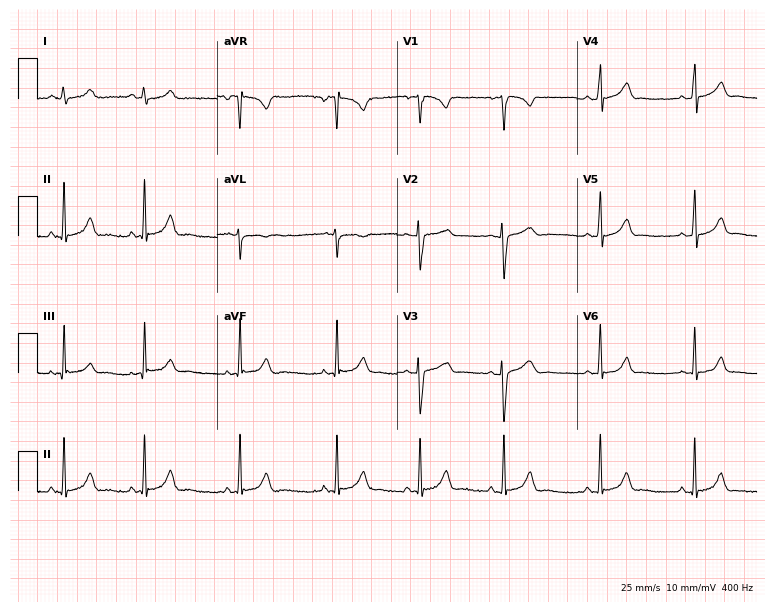
12-lead ECG (7.3-second recording at 400 Hz) from an 18-year-old female patient. Labelled as a normal ECG.